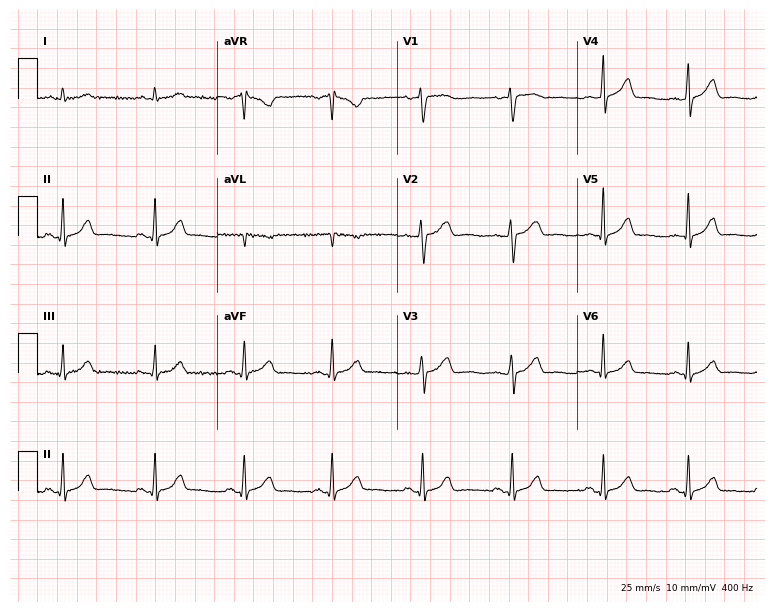
Electrocardiogram (7.3-second recording at 400 Hz), a 47-year-old male. Overall reading on record: normal ECG.